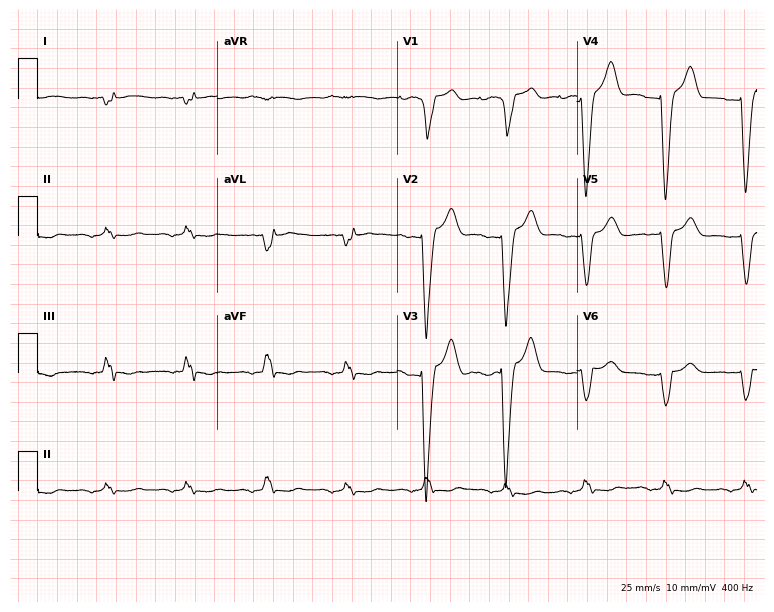
12-lead ECG from an 84-year-old woman. No first-degree AV block, right bundle branch block, left bundle branch block, sinus bradycardia, atrial fibrillation or sinus tachycardia recorded for this tracing.